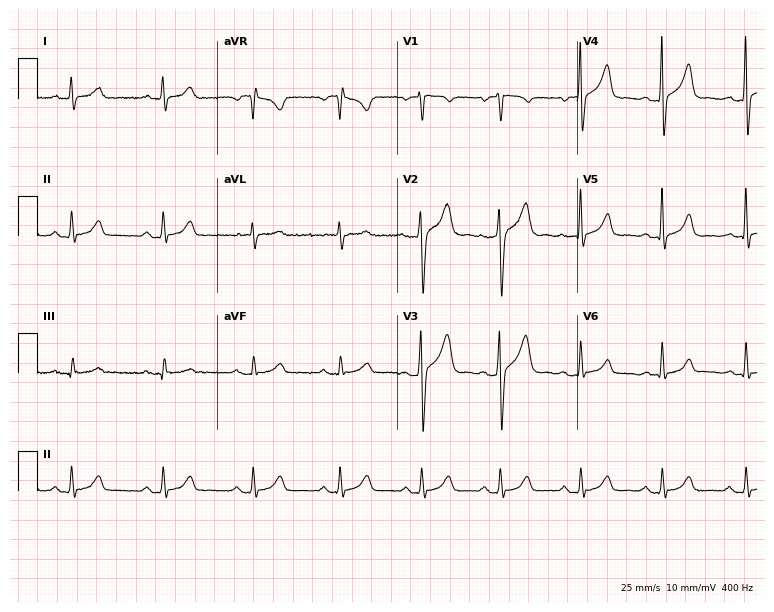
12-lead ECG from a 31-year-old male (7.3-second recording at 400 Hz). Recorded interpretation: within normal limits.